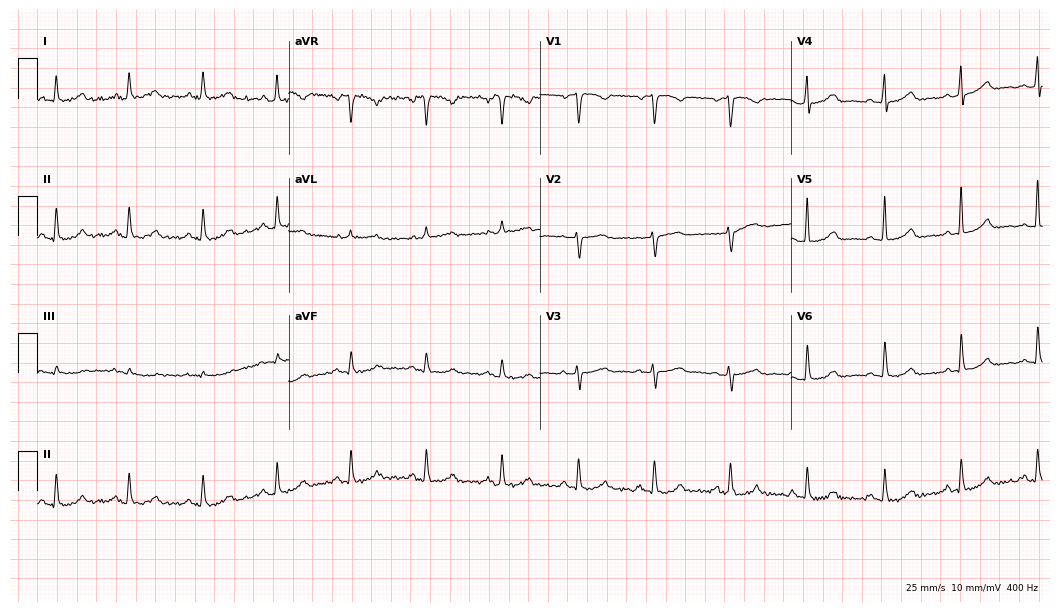
Resting 12-lead electrocardiogram. Patient: a 48-year-old woman. Read as a normal ECG.